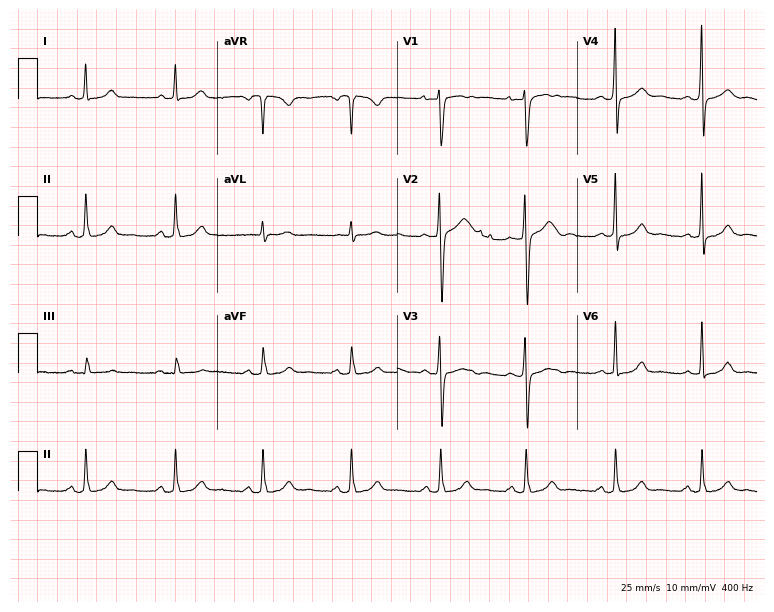
Standard 12-lead ECG recorded from a 24-year-old female patient. Read as a normal ECG.